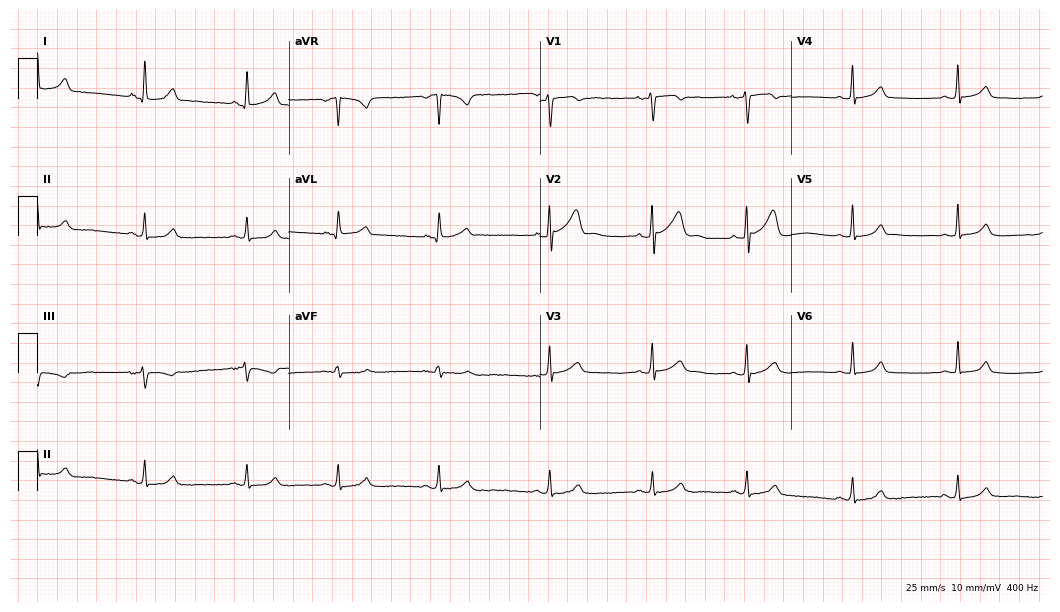
ECG — a 21-year-old female patient. Screened for six findings — first-degree AV block, right bundle branch block, left bundle branch block, sinus bradycardia, atrial fibrillation, sinus tachycardia — none is recorded. Findings outside these six are not listed.